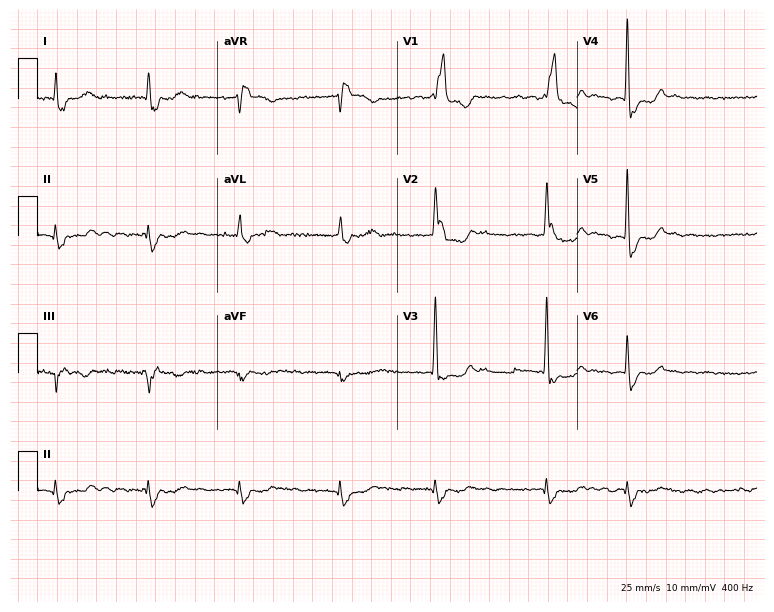
12-lead ECG from a male patient, 84 years old. No first-degree AV block, right bundle branch block (RBBB), left bundle branch block (LBBB), sinus bradycardia, atrial fibrillation (AF) or sinus tachycardia recorded for this tracing.